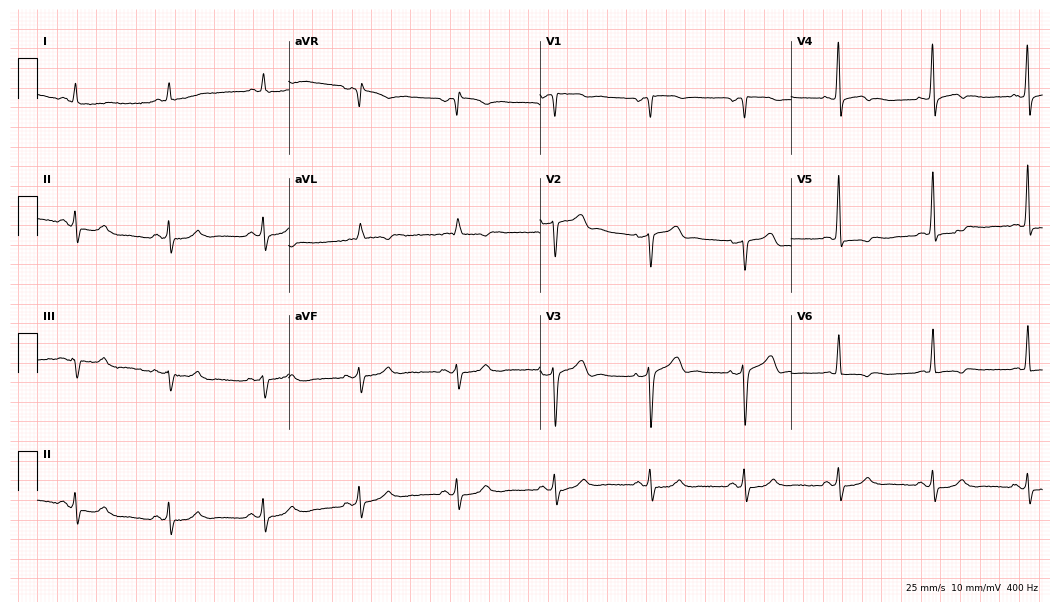
Standard 12-lead ECG recorded from a male, 63 years old (10.2-second recording at 400 Hz). None of these six findings is recorded: first-degree AV block, right bundle branch block (RBBB), left bundle branch block (LBBB), sinus bradycardia, atrial fibrillation (AF), sinus tachycardia.